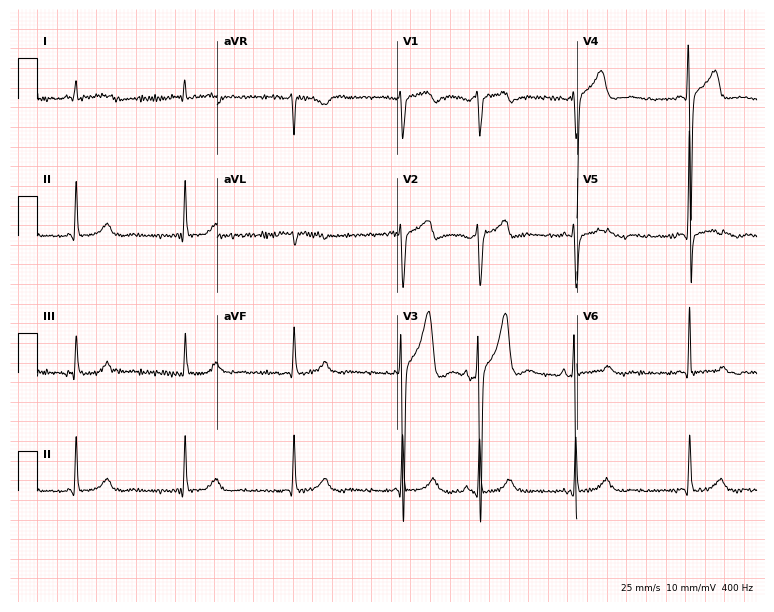
ECG — a male patient, 65 years old. Screened for six findings — first-degree AV block, right bundle branch block, left bundle branch block, sinus bradycardia, atrial fibrillation, sinus tachycardia — none is recorded.